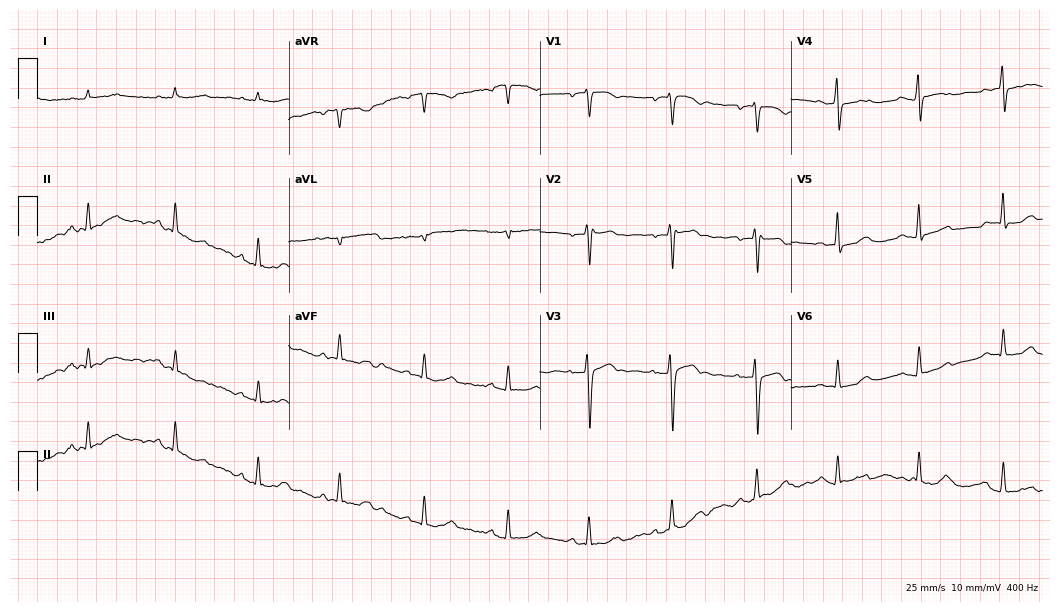
Resting 12-lead electrocardiogram. Patient: a female, 53 years old. None of these six findings is recorded: first-degree AV block, right bundle branch block, left bundle branch block, sinus bradycardia, atrial fibrillation, sinus tachycardia. Only these six findings were labelled.